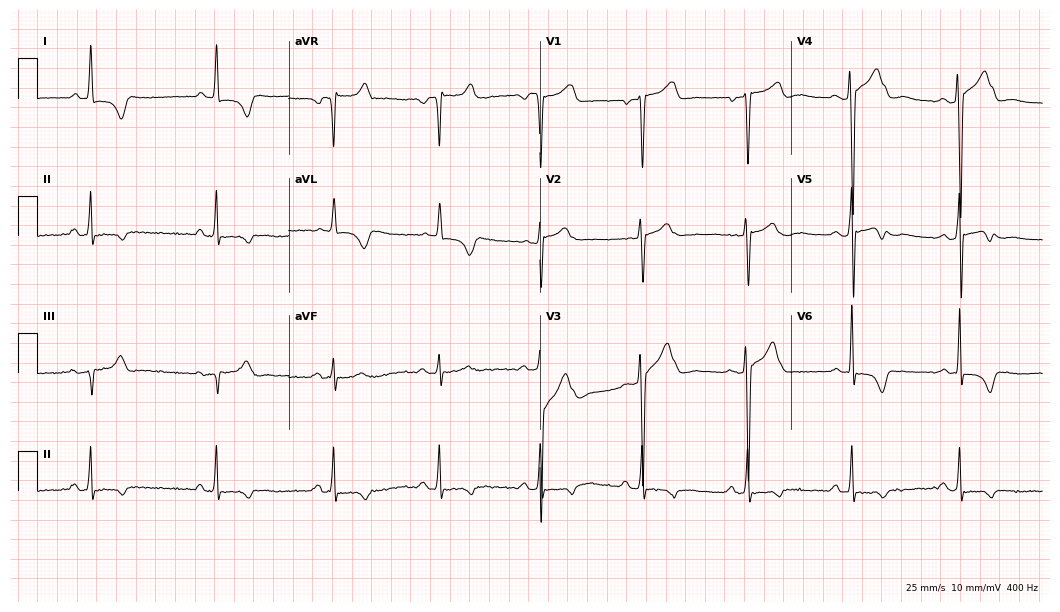
ECG — a 54-year-old male. Screened for six findings — first-degree AV block, right bundle branch block (RBBB), left bundle branch block (LBBB), sinus bradycardia, atrial fibrillation (AF), sinus tachycardia — none is recorded. Other findings, if any, are not listed.